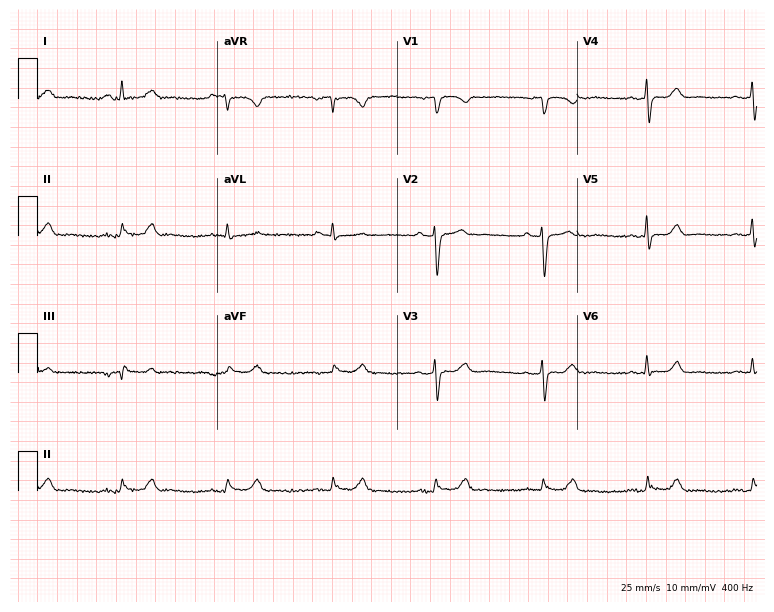
12-lead ECG (7.3-second recording at 400 Hz) from a female, 63 years old. Labelled as a normal ECG.